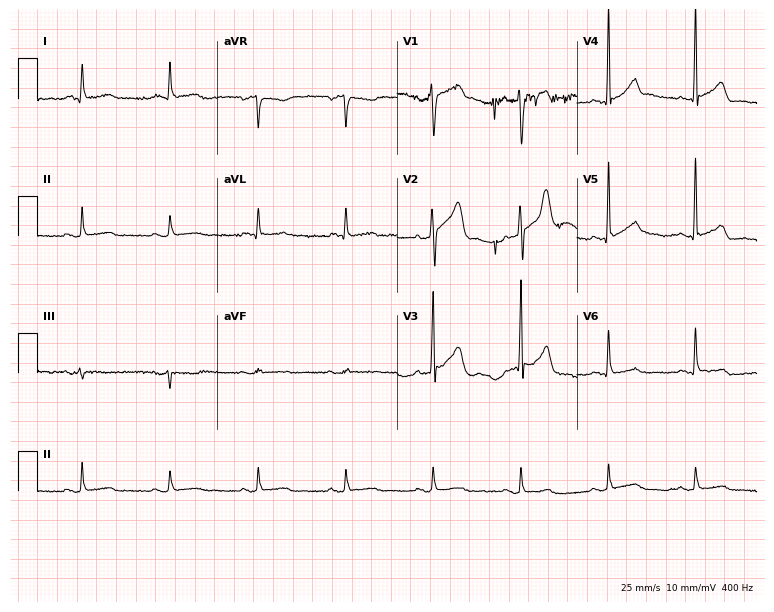
Electrocardiogram (7.3-second recording at 400 Hz), a 69-year-old man. Of the six screened findings (first-degree AV block, right bundle branch block, left bundle branch block, sinus bradycardia, atrial fibrillation, sinus tachycardia), none is recorded. Other findings, if any, are not listed.